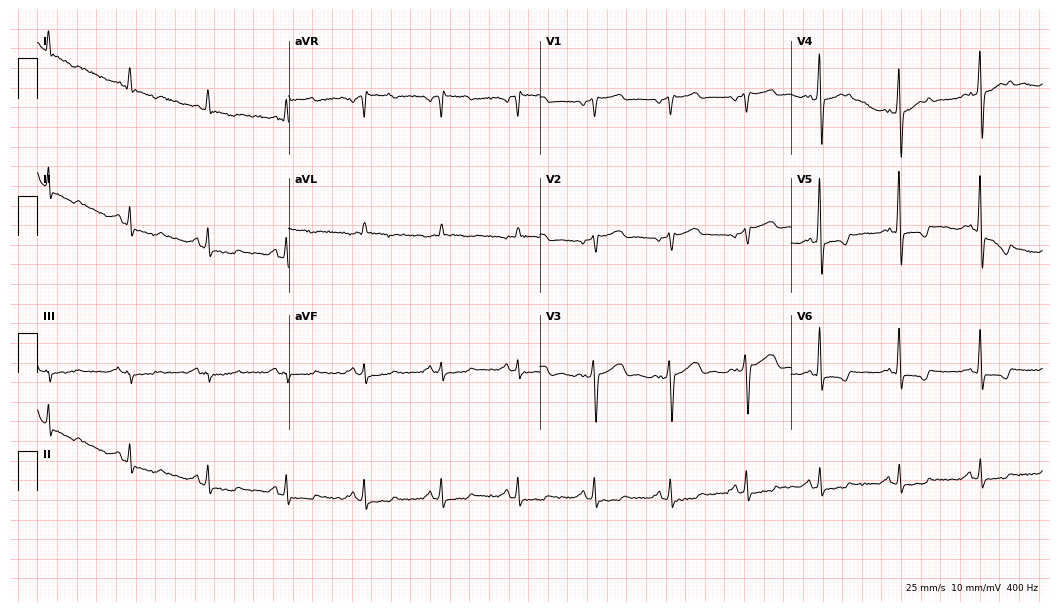
Electrocardiogram (10.2-second recording at 400 Hz), a male, 64 years old. Of the six screened findings (first-degree AV block, right bundle branch block, left bundle branch block, sinus bradycardia, atrial fibrillation, sinus tachycardia), none is recorded.